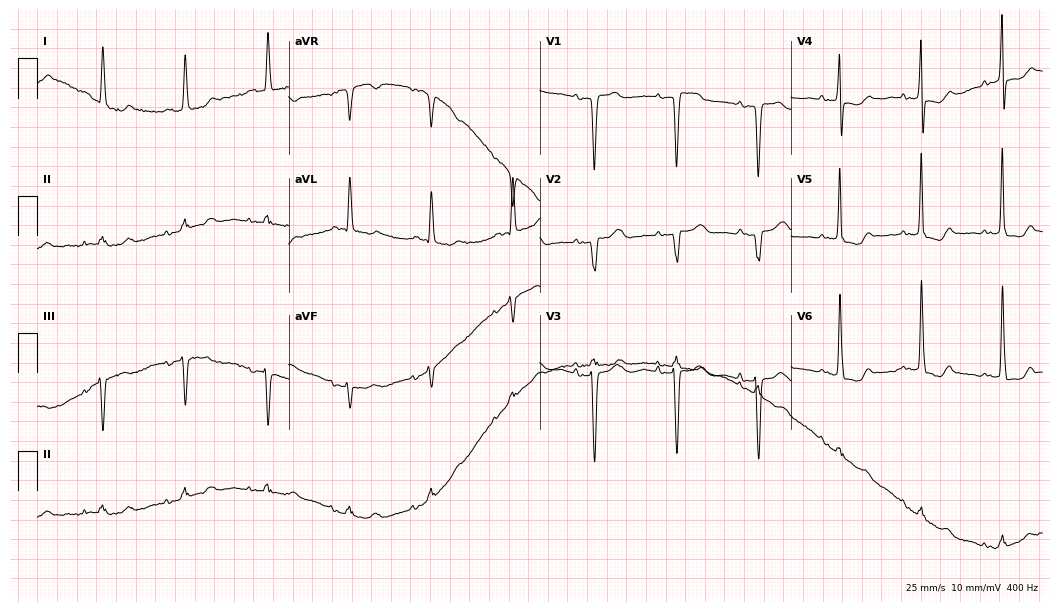
Standard 12-lead ECG recorded from an 89-year-old female patient. None of these six findings is recorded: first-degree AV block, right bundle branch block, left bundle branch block, sinus bradycardia, atrial fibrillation, sinus tachycardia.